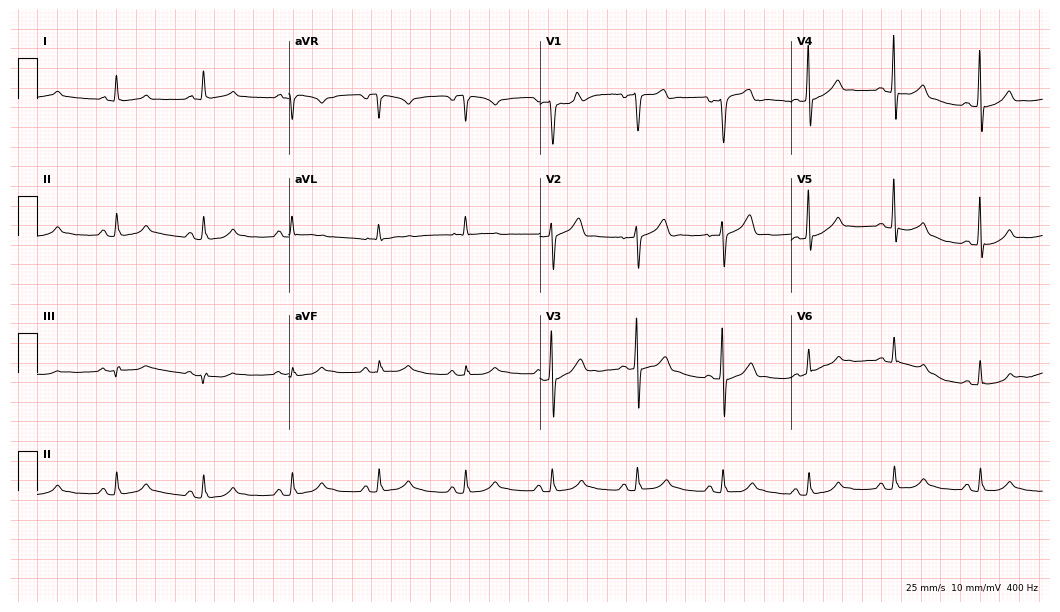
12-lead ECG from a male, 62 years old. Recorded interpretation: within normal limits.